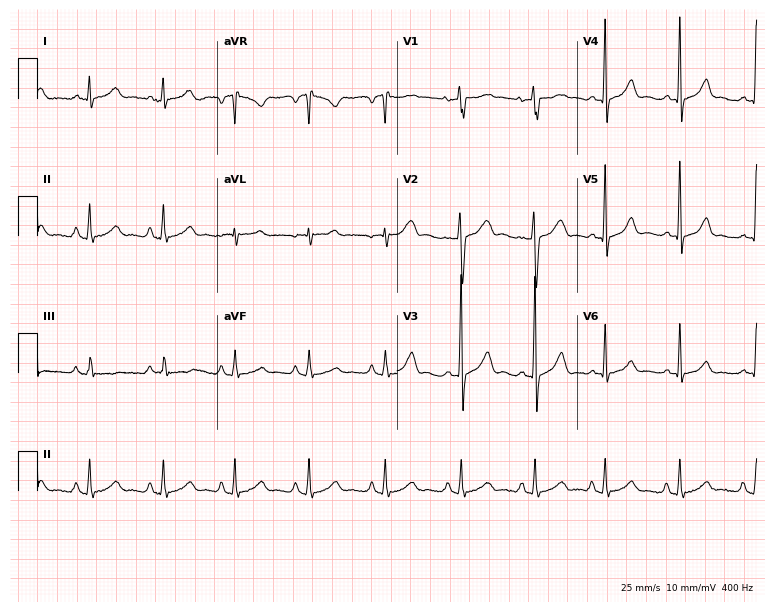
ECG — a 27-year-old male patient. Screened for six findings — first-degree AV block, right bundle branch block (RBBB), left bundle branch block (LBBB), sinus bradycardia, atrial fibrillation (AF), sinus tachycardia — none is recorded. Findings outside these six are not listed.